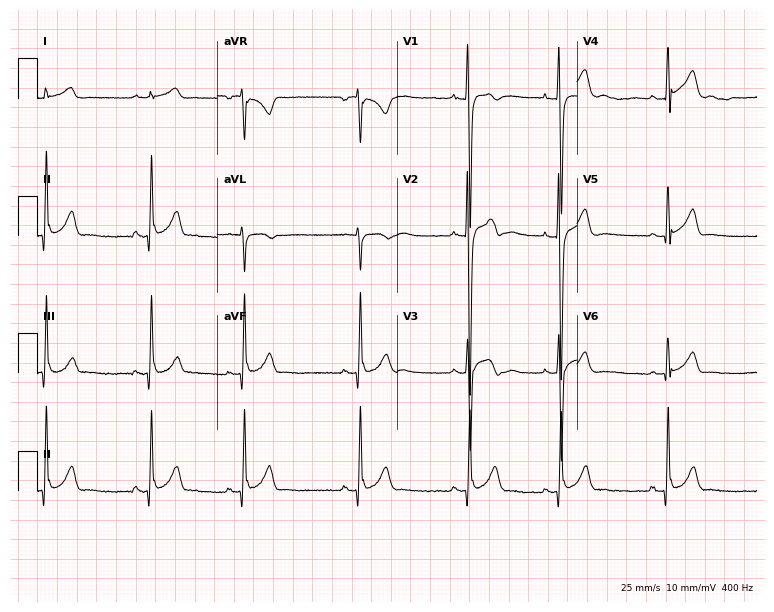
Standard 12-lead ECG recorded from a 17-year-old man. Read as a normal ECG.